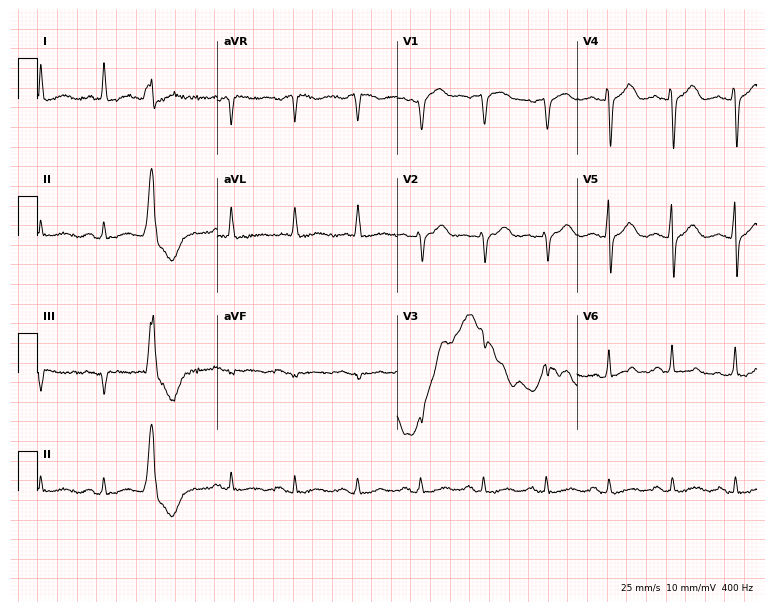
12-lead ECG (7.3-second recording at 400 Hz) from a 74-year-old female patient. Screened for six findings — first-degree AV block, right bundle branch block, left bundle branch block, sinus bradycardia, atrial fibrillation, sinus tachycardia — none is recorded. Findings outside these six are not listed.